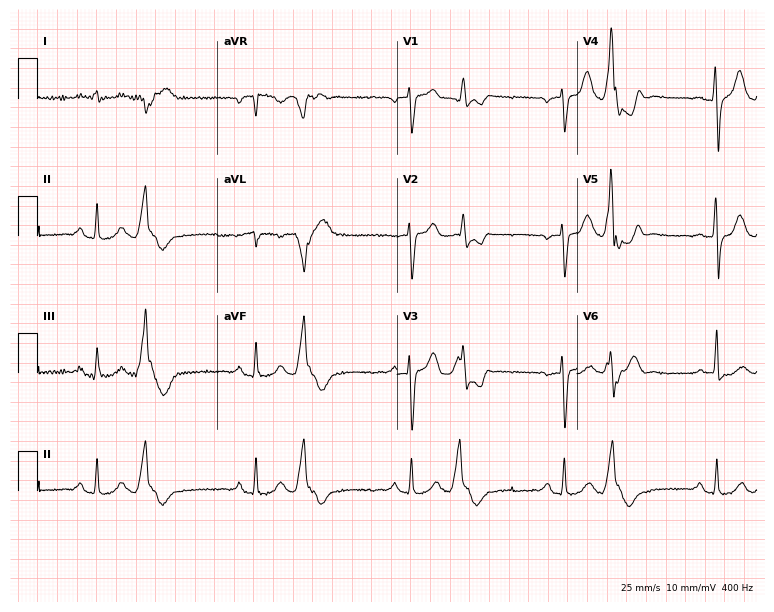
Standard 12-lead ECG recorded from a male patient, 71 years old (7.3-second recording at 400 Hz). None of these six findings is recorded: first-degree AV block, right bundle branch block, left bundle branch block, sinus bradycardia, atrial fibrillation, sinus tachycardia.